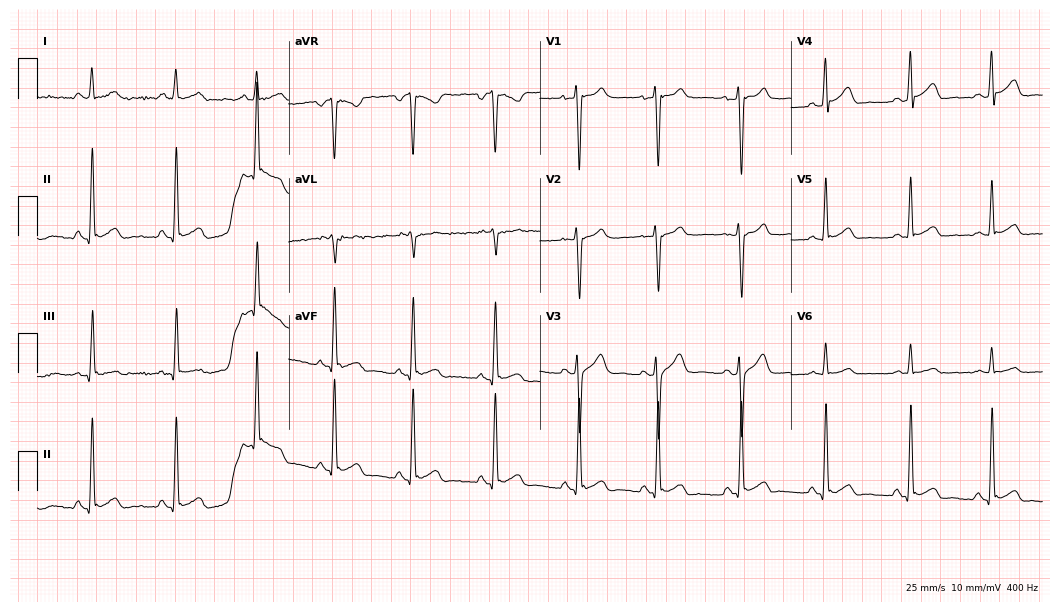
12-lead ECG (10.2-second recording at 400 Hz) from a male patient, 34 years old. Screened for six findings — first-degree AV block, right bundle branch block, left bundle branch block, sinus bradycardia, atrial fibrillation, sinus tachycardia — none is recorded.